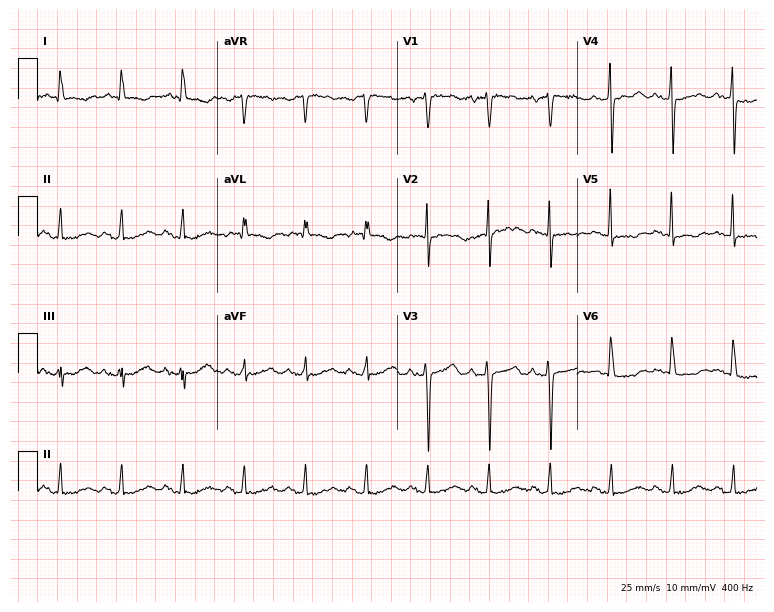
12-lead ECG from a 66-year-old man. Screened for six findings — first-degree AV block, right bundle branch block, left bundle branch block, sinus bradycardia, atrial fibrillation, sinus tachycardia — none is recorded.